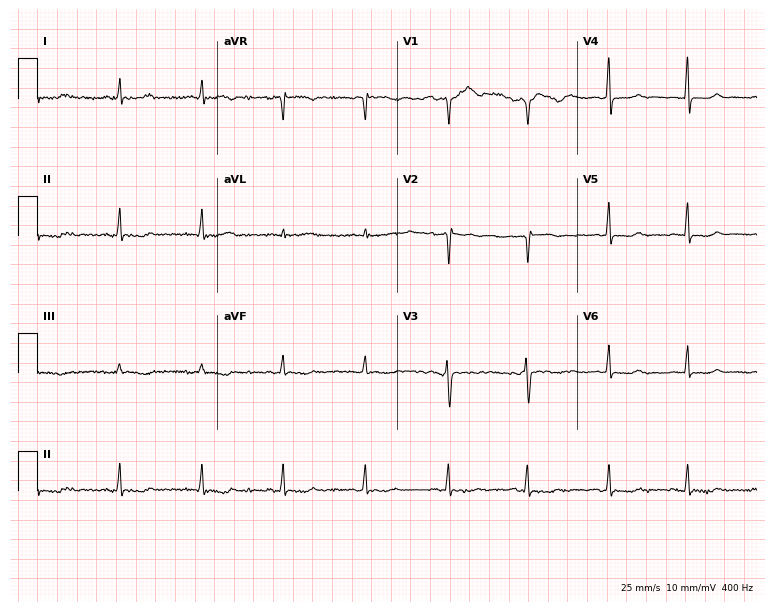
12-lead ECG from a woman, 51 years old (7.3-second recording at 400 Hz). No first-degree AV block, right bundle branch block, left bundle branch block, sinus bradycardia, atrial fibrillation or sinus tachycardia recorded for this tracing. Findings outside these six are not listed.